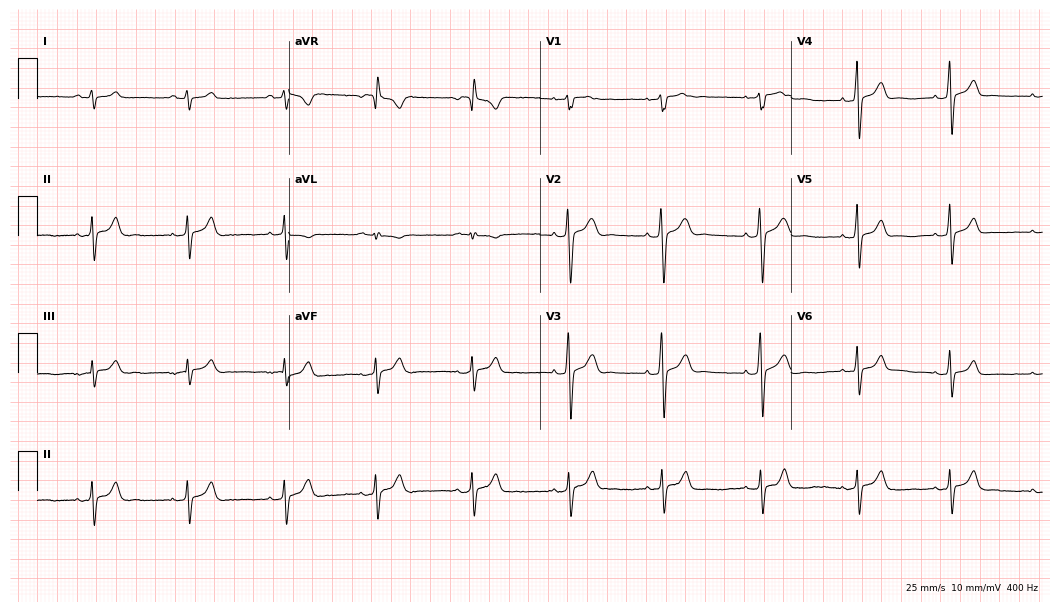
12-lead ECG from a male, 24 years old (10.2-second recording at 400 Hz). Recorded interpretation: within normal limits.